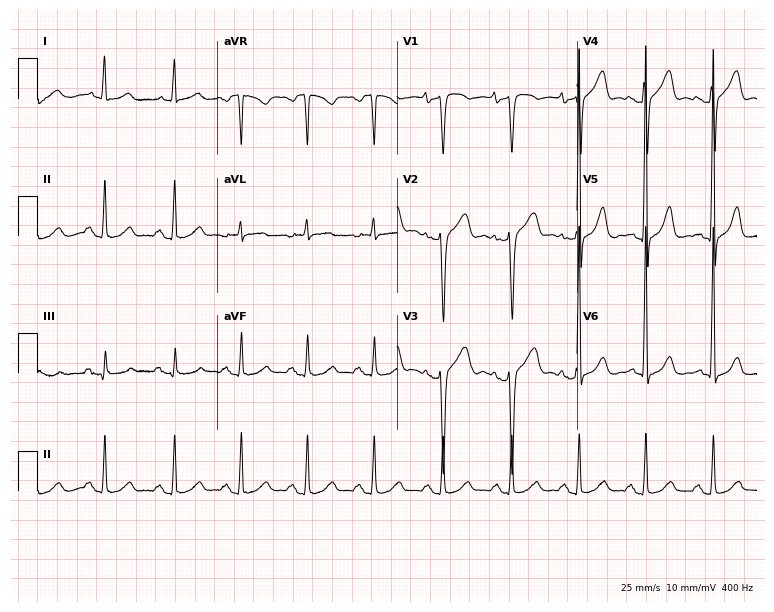
12-lead ECG from a woman, 76 years old. No first-degree AV block, right bundle branch block, left bundle branch block, sinus bradycardia, atrial fibrillation or sinus tachycardia recorded for this tracing.